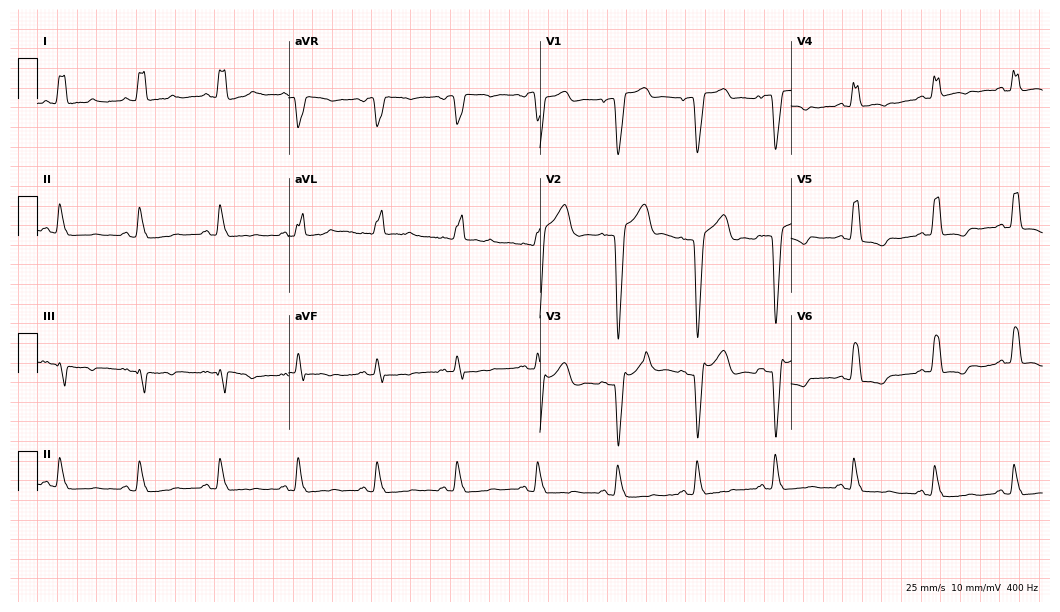
Standard 12-lead ECG recorded from a 71-year-old woman. The tracing shows left bundle branch block.